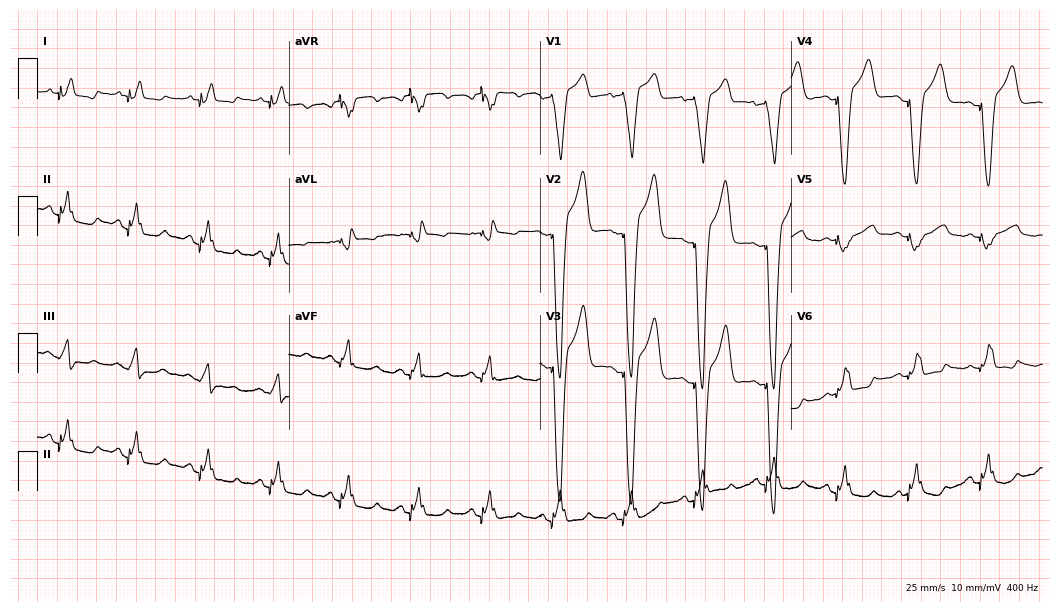
Electrocardiogram, a male patient, 61 years old. Of the six screened findings (first-degree AV block, right bundle branch block, left bundle branch block, sinus bradycardia, atrial fibrillation, sinus tachycardia), none is recorded. Only these six findings were labelled.